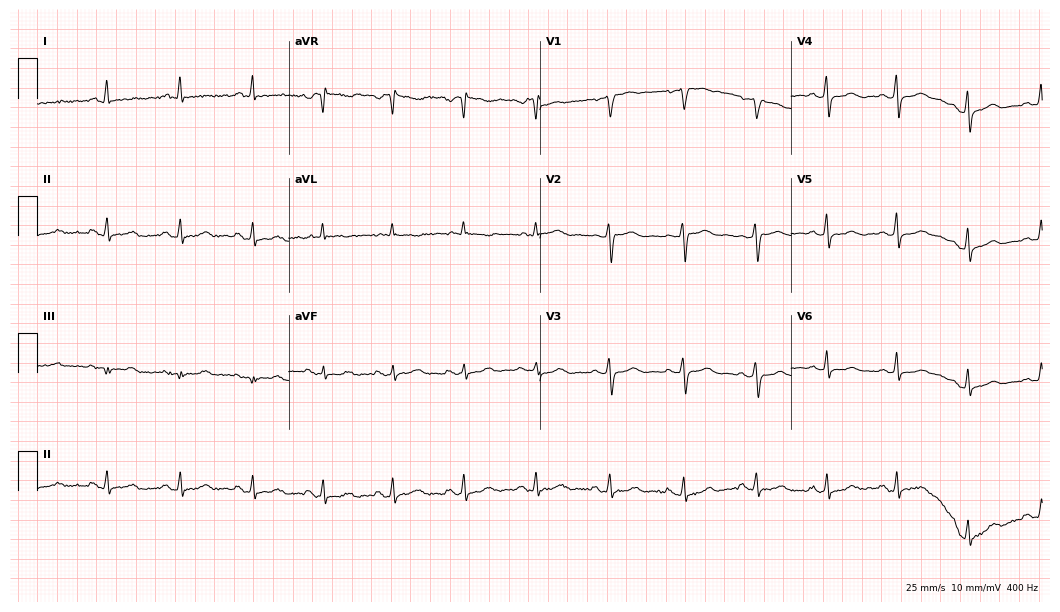
Resting 12-lead electrocardiogram. Patient: a 55-year-old female. Read as a normal ECG.